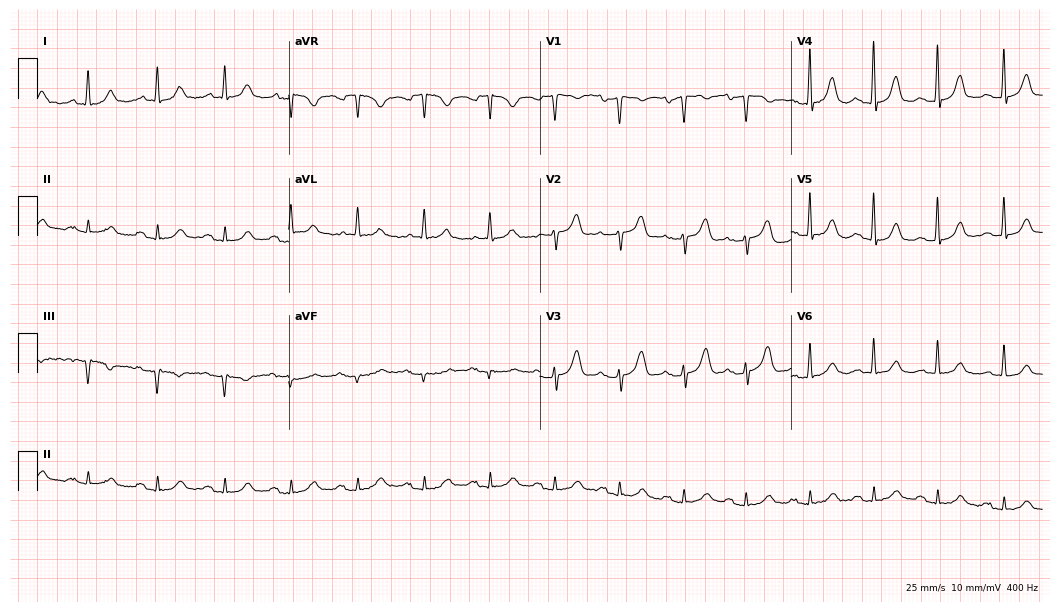
Resting 12-lead electrocardiogram. Patient: a female, 84 years old. Read as a normal ECG.